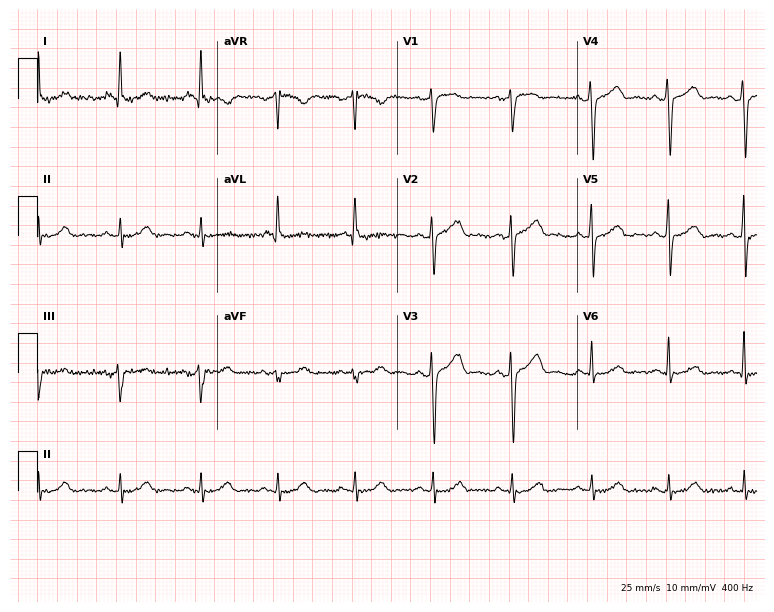
12-lead ECG from a 53-year-old woman. No first-degree AV block, right bundle branch block, left bundle branch block, sinus bradycardia, atrial fibrillation or sinus tachycardia recorded for this tracing.